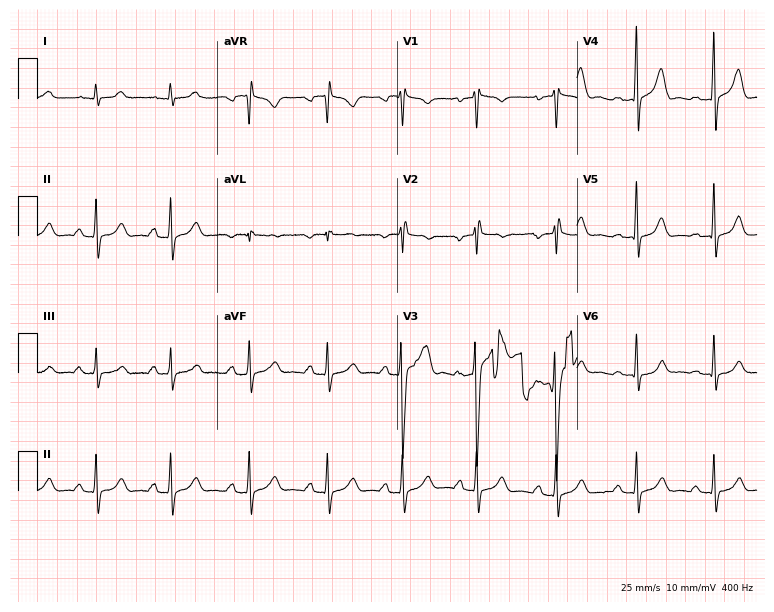
Resting 12-lead electrocardiogram. Patient: a male, 28 years old. None of these six findings is recorded: first-degree AV block, right bundle branch block, left bundle branch block, sinus bradycardia, atrial fibrillation, sinus tachycardia.